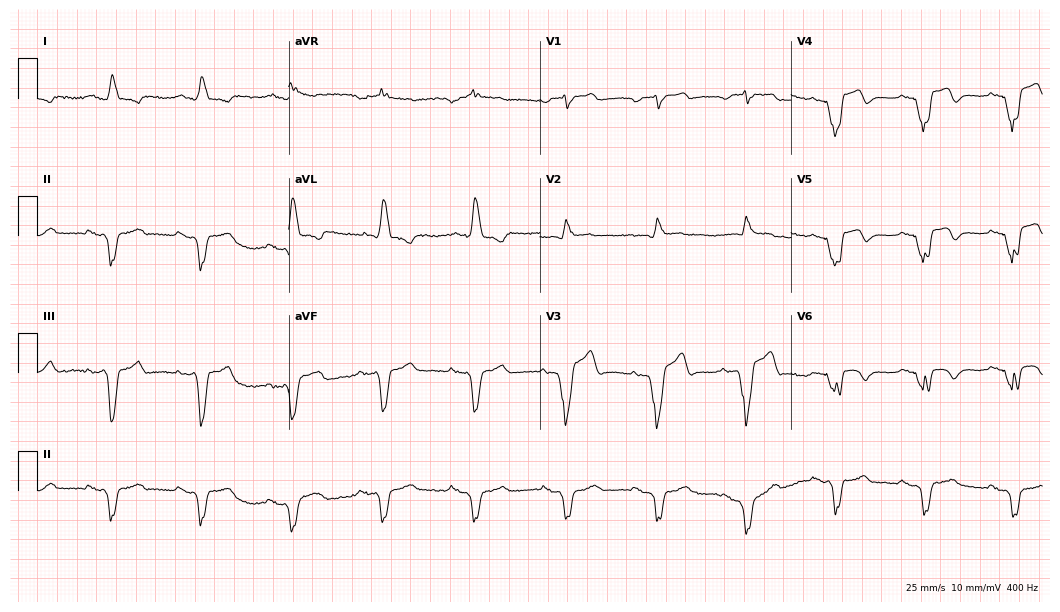
Electrocardiogram (10.2-second recording at 400 Hz), a man, 79 years old. Of the six screened findings (first-degree AV block, right bundle branch block (RBBB), left bundle branch block (LBBB), sinus bradycardia, atrial fibrillation (AF), sinus tachycardia), none is recorded.